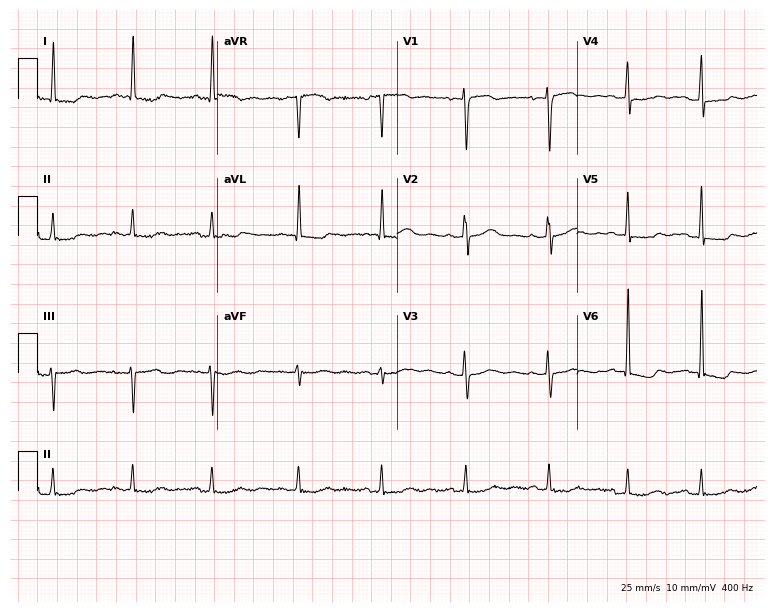
Standard 12-lead ECG recorded from a 72-year-old female (7.3-second recording at 400 Hz). None of these six findings is recorded: first-degree AV block, right bundle branch block (RBBB), left bundle branch block (LBBB), sinus bradycardia, atrial fibrillation (AF), sinus tachycardia. Only these six findings were labelled.